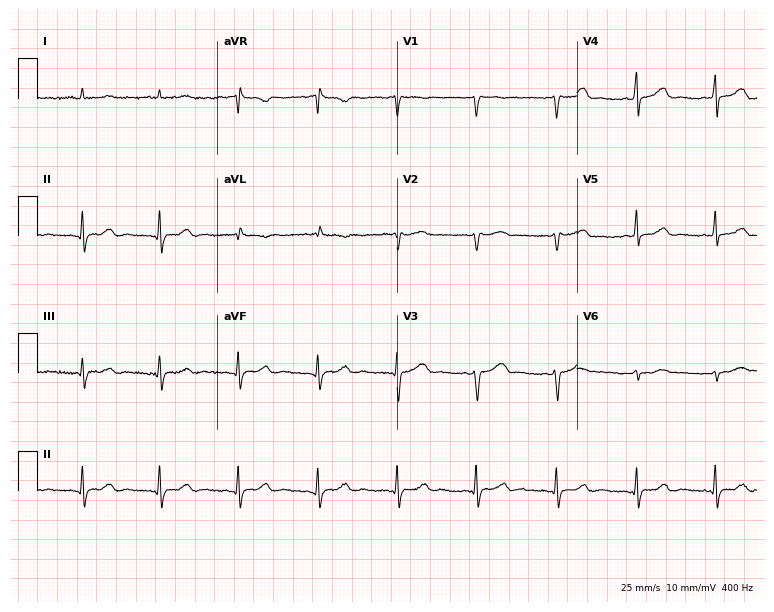
Electrocardiogram, a female patient, 69 years old. Overall reading on record: normal ECG.